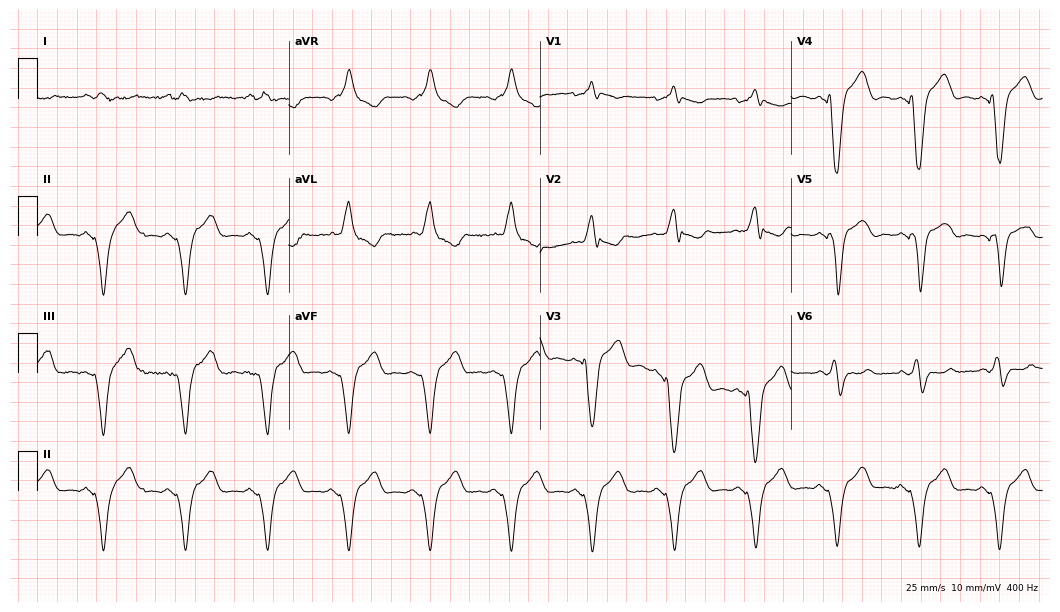
ECG (10.2-second recording at 400 Hz) — a male patient, 61 years old. Screened for six findings — first-degree AV block, right bundle branch block, left bundle branch block, sinus bradycardia, atrial fibrillation, sinus tachycardia — none is recorded.